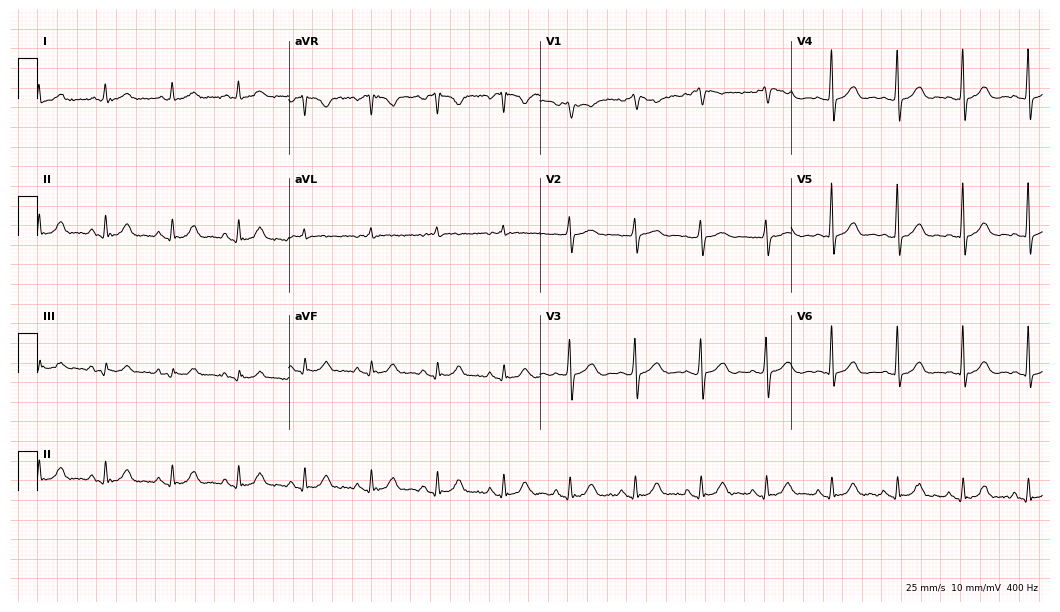
12-lead ECG from a man, 85 years old. No first-degree AV block, right bundle branch block (RBBB), left bundle branch block (LBBB), sinus bradycardia, atrial fibrillation (AF) or sinus tachycardia recorded for this tracing. Other findings, if any, are not listed.